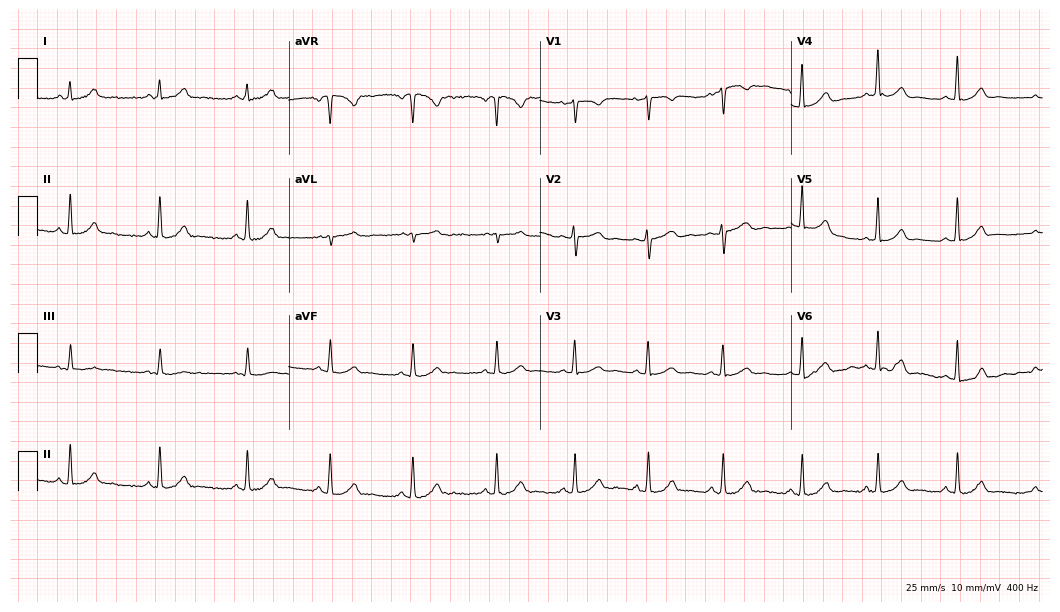
ECG — a female patient, 25 years old. Labelled as a normal ECG.